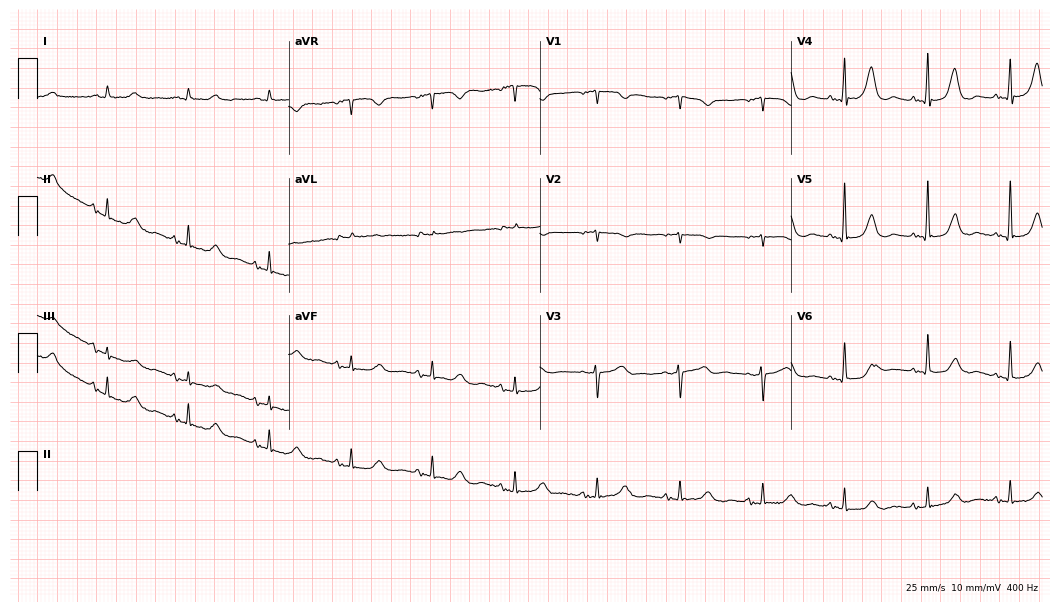
12-lead ECG (10.2-second recording at 400 Hz) from an 81-year-old female patient. Screened for six findings — first-degree AV block, right bundle branch block, left bundle branch block, sinus bradycardia, atrial fibrillation, sinus tachycardia — none is recorded. Findings outside these six are not listed.